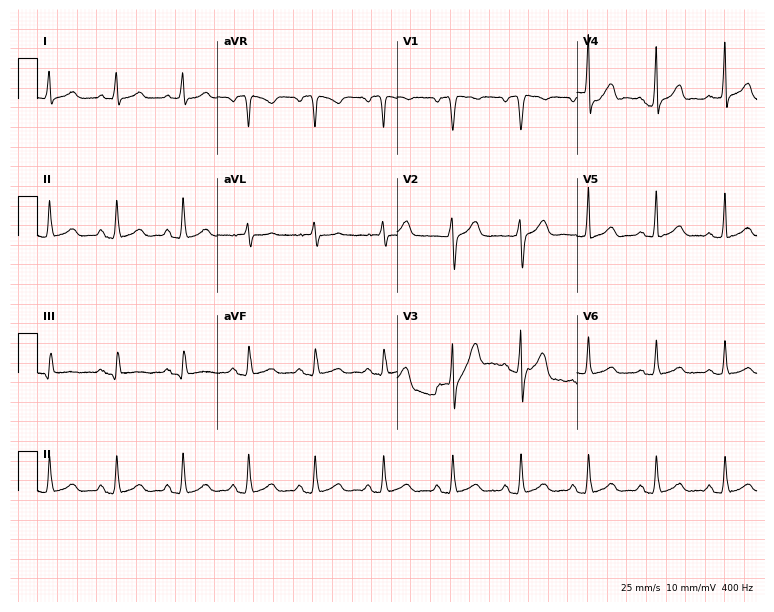
Electrocardiogram, a 53-year-old man. Overall reading on record: normal ECG.